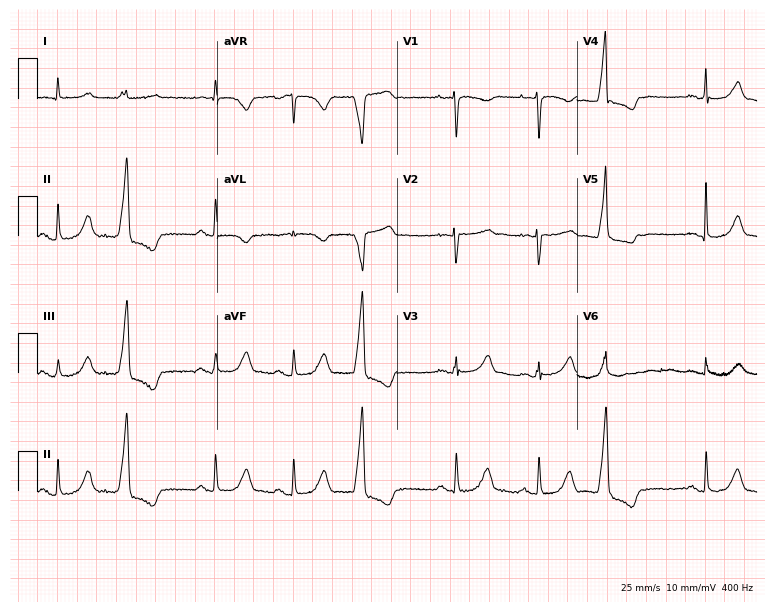
Electrocardiogram, a 79-year-old female. Of the six screened findings (first-degree AV block, right bundle branch block, left bundle branch block, sinus bradycardia, atrial fibrillation, sinus tachycardia), none is recorded.